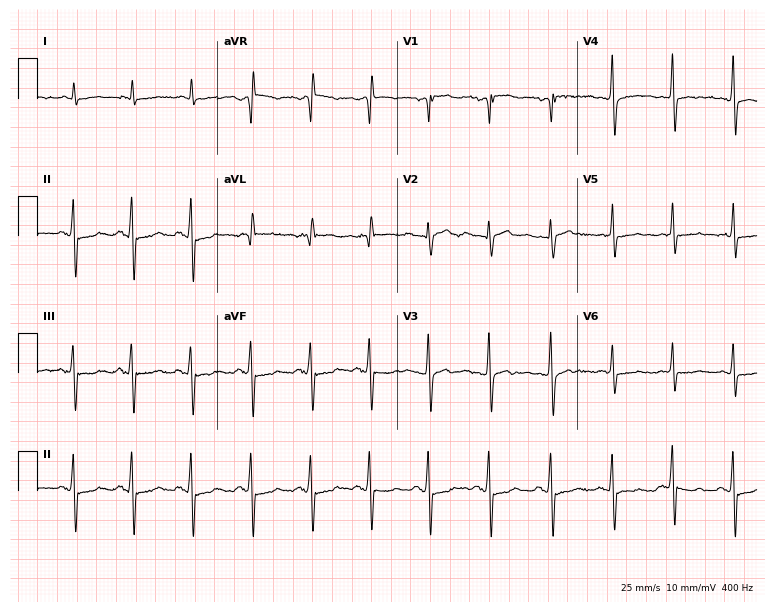
12-lead ECG from a 58-year-old male patient (7.3-second recording at 400 Hz). No first-degree AV block, right bundle branch block, left bundle branch block, sinus bradycardia, atrial fibrillation or sinus tachycardia recorded for this tracing.